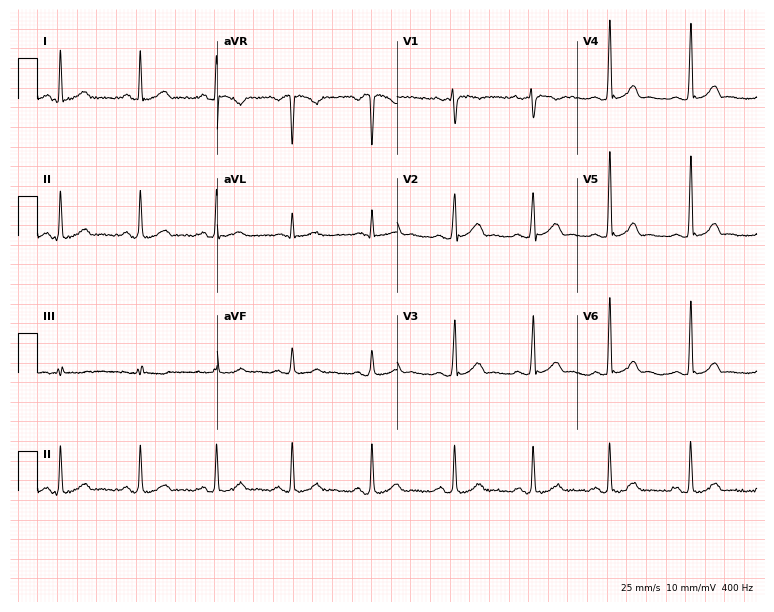
Standard 12-lead ECG recorded from a 37-year-old female (7.3-second recording at 400 Hz). None of these six findings is recorded: first-degree AV block, right bundle branch block (RBBB), left bundle branch block (LBBB), sinus bradycardia, atrial fibrillation (AF), sinus tachycardia. Only these six findings were labelled.